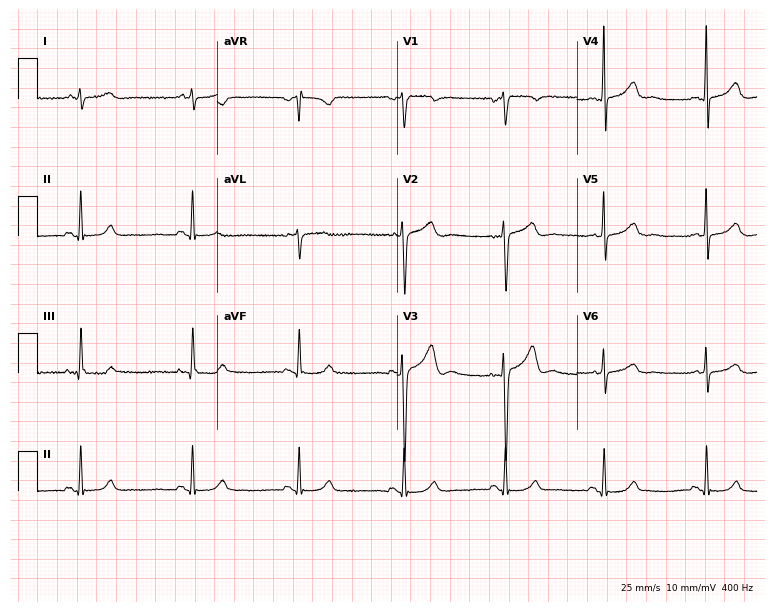
Standard 12-lead ECG recorded from a 48-year-old man (7.3-second recording at 400 Hz). None of these six findings is recorded: first-degree AV block, right bundle branch block, left bundle branch block, sinus bradycardia, atrial fibrillation, sinus tachycardia.